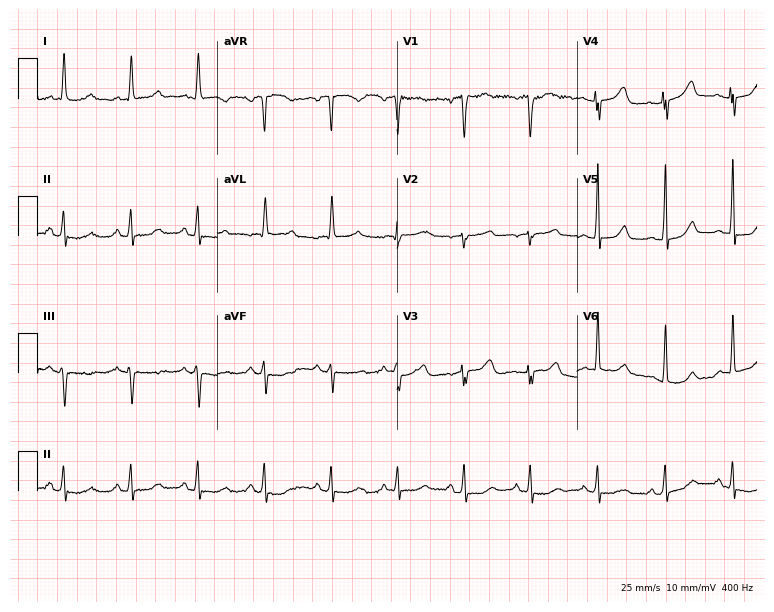
Electrocardiogram, a female patient, 66 years old. Overall reading on record: normal ECG.